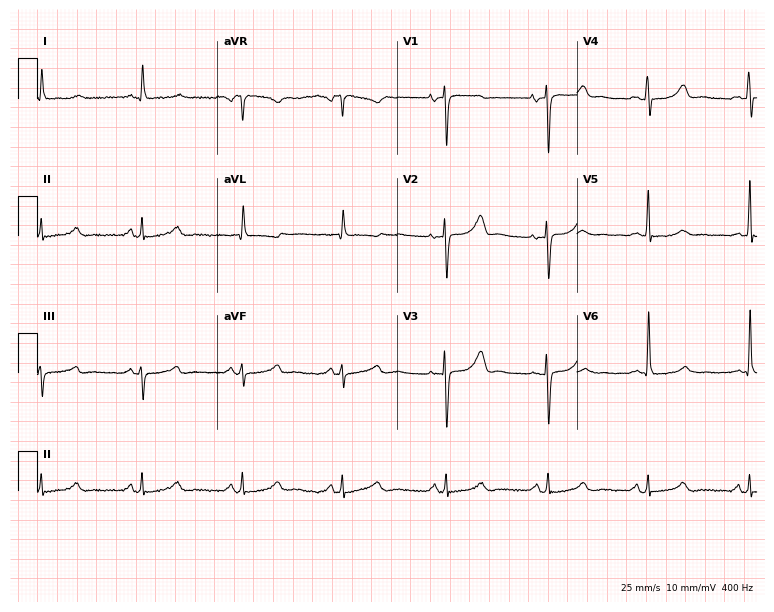
Standard 12-lead ECG recorded from a 49-year-old female. Read as a normal ECG.